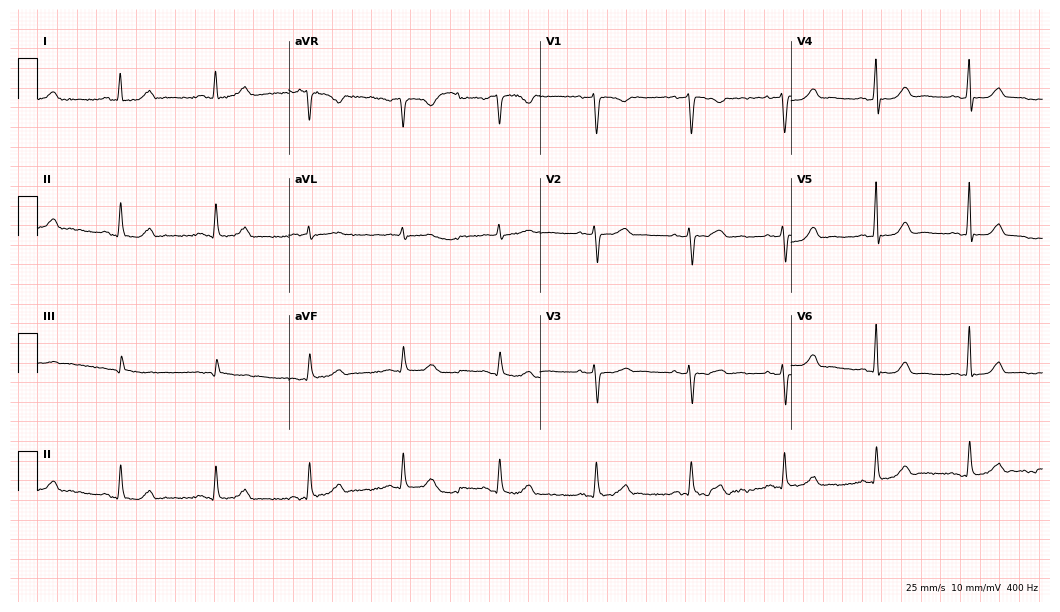
Standard 12-lead ECG recorded from a female patient, 56 years old (10.2-second recording at 400 Hz). Read as a normal ECG.